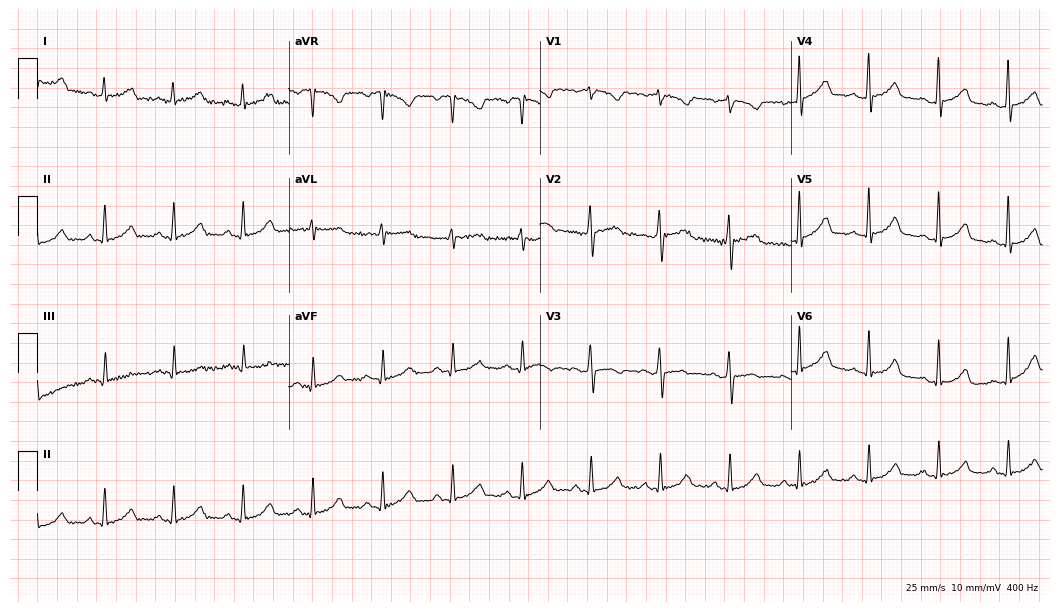
Standard 12-lead ECG recorded from a woman, 53 years old (10.2-second recording at 400 Hz). Read as a normal ECG.